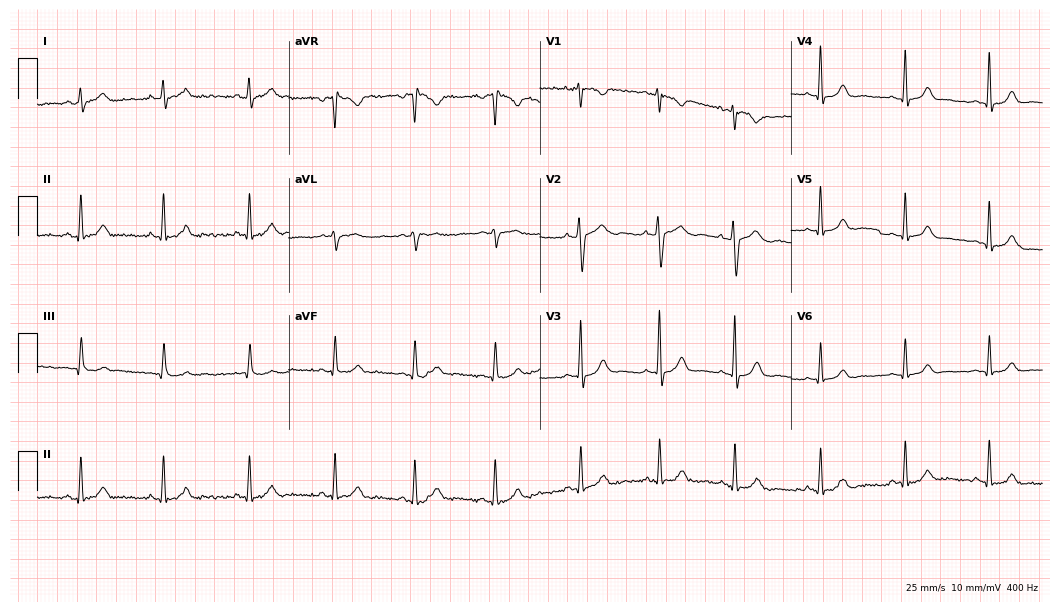
12-lead ECG from a female, 28 years old. Recorded interpretation: within normal limits.